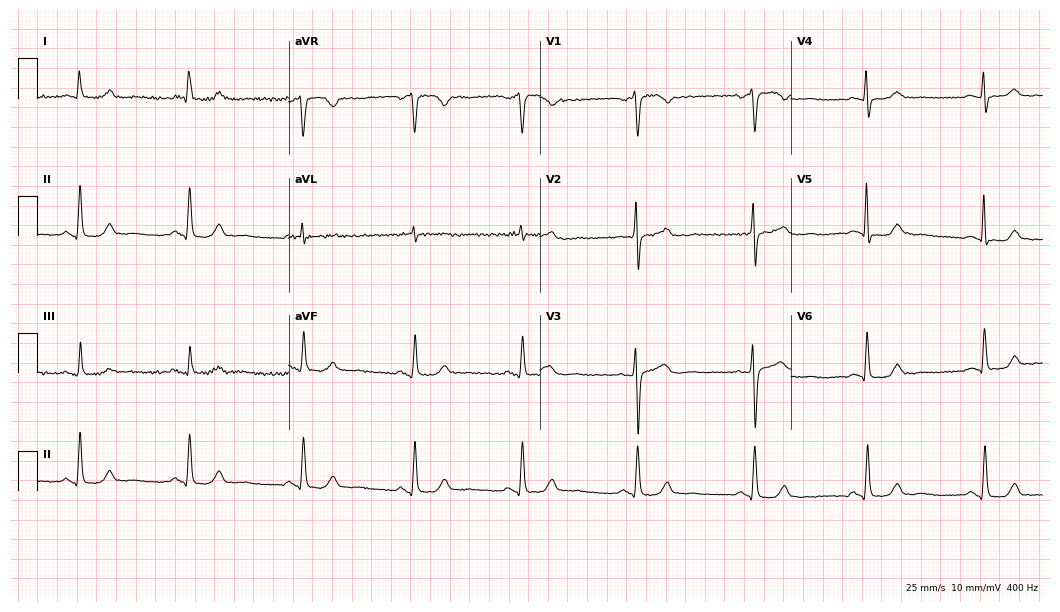
12-lead ECG from a female, 54 years old. Labelled as a normal ECG.